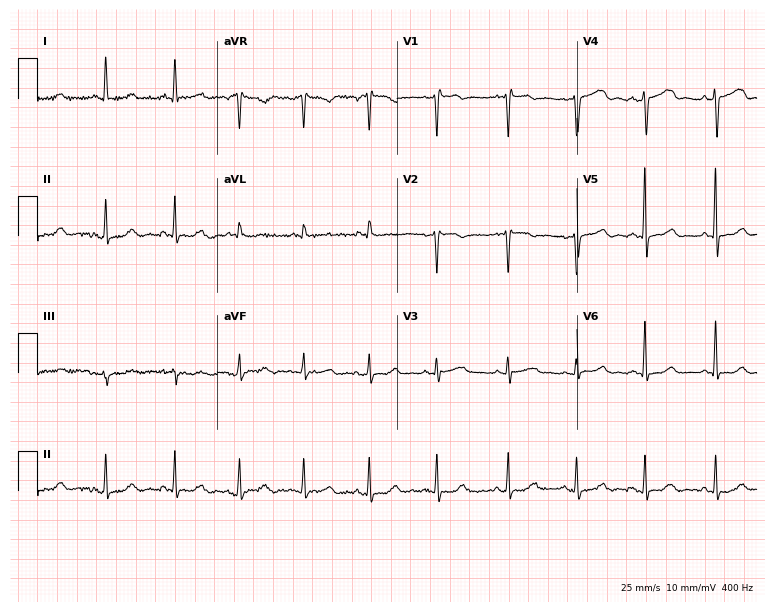
ECG (7.3-second recording at 400 Hz) — a woman, 55 years old. Screened for six findings — first-degree AV block, right bundle branch block, left bundle branch block, sinus bradycardia, atrial fibrillation, sinus tachycardia — none is recorded.